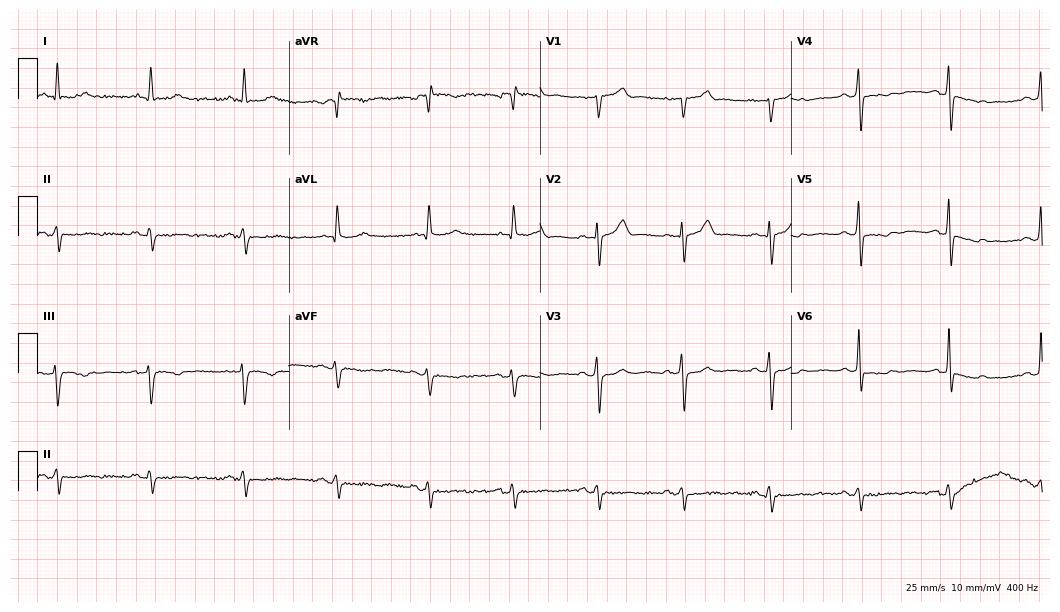
ECG — a 70-year-old male patient. Screened for six findings — first-degree AV block, right bundle branch block, left bundle branch block, sinus bradycardia, atrial fibrillation, sinus tachycardia — none is recorded.